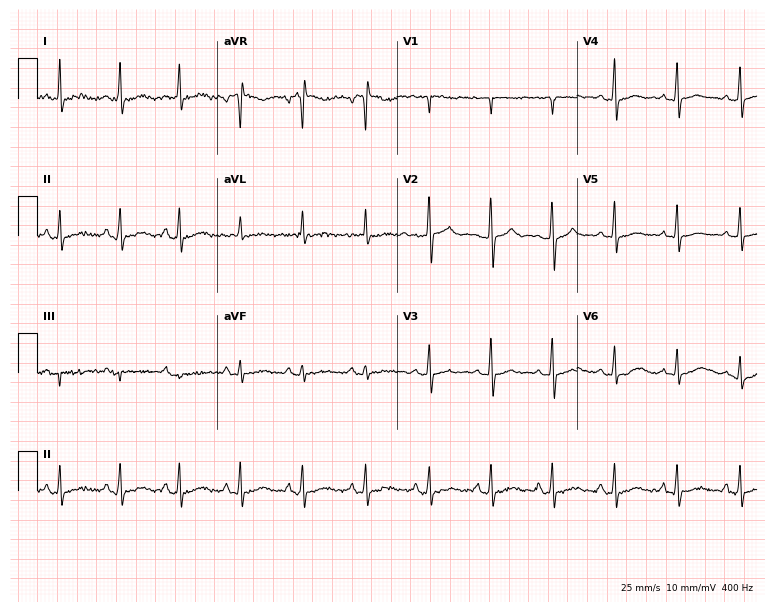
Standard 12-lead ECG recorded from a 38-year-old woman (7.3-second recording at 400 Hz). Read as a normal ECG.